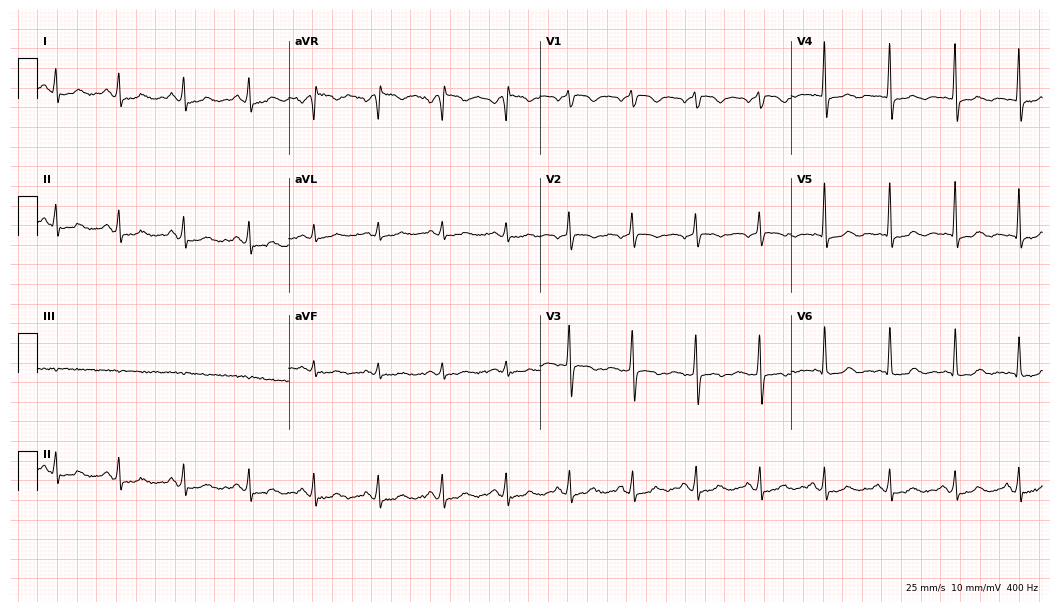
12-lead ECG from a female, 55 years old (10.2-second recording at 400 Hz). No first-degree AV block, right bundle branch block (RBBB), left bundle branch block (LBBB), sinus bradycardia, atrial fibrillation (AF) or sinus tachycardia recorded for this tracing.